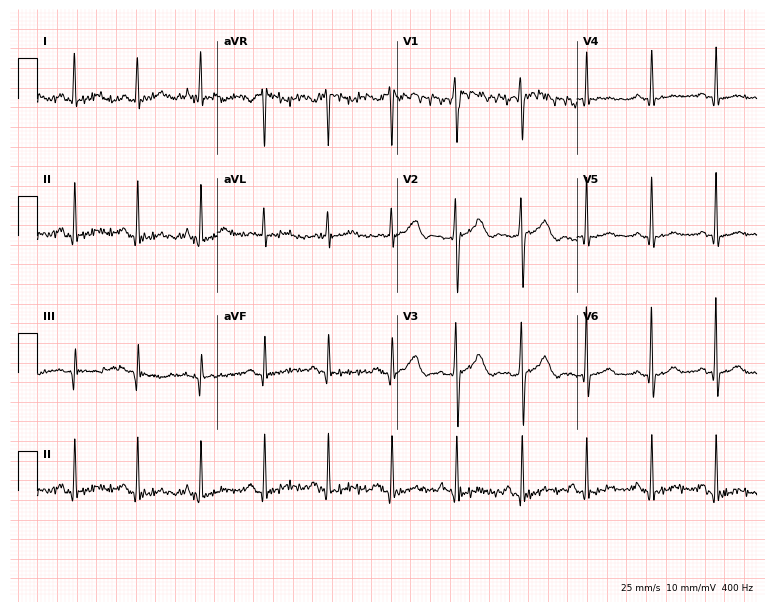
12-lead ECG from a 50-year-old female patient. No first-degree AV block, right bundle branch block (RBBB), left bundle branch block (LBBB), sinus bradycardia, atrial fibrillation (AF) or sinus tachycardia recorded for this tracing. Only these six findings were labelled.